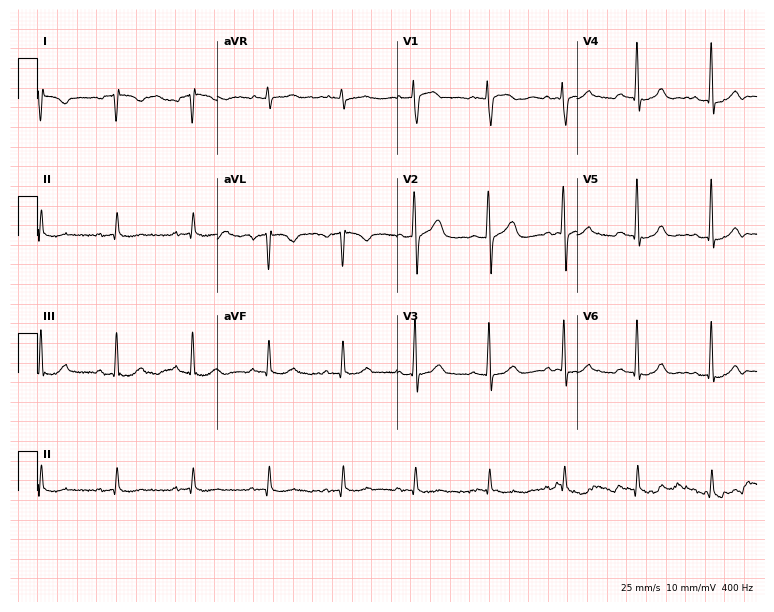
Resting 12-lead electrocardiogram (7.3-second recording at 400 Hz). Patient: a 49-year-old female. None of these six findings is recorded: first-degree AV block, right bundle branch block, left bundle branch block, sinus bradycardia, atrial fibrillation, sinus tachycardia. Findings outside these six are not listed.